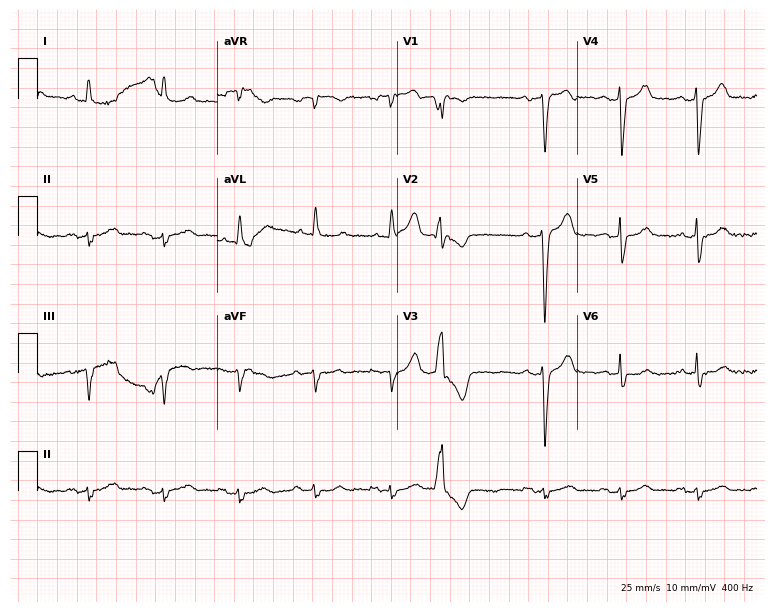
ECG (7.3-second recording at 400 Hz) — an 85-year-old male. Screened for six findings — first-degree AV block, right bundle branch block, left bundle branch block, sinus bradycardia, atrial fibrillation, sinus tachycardia — none is recorded.